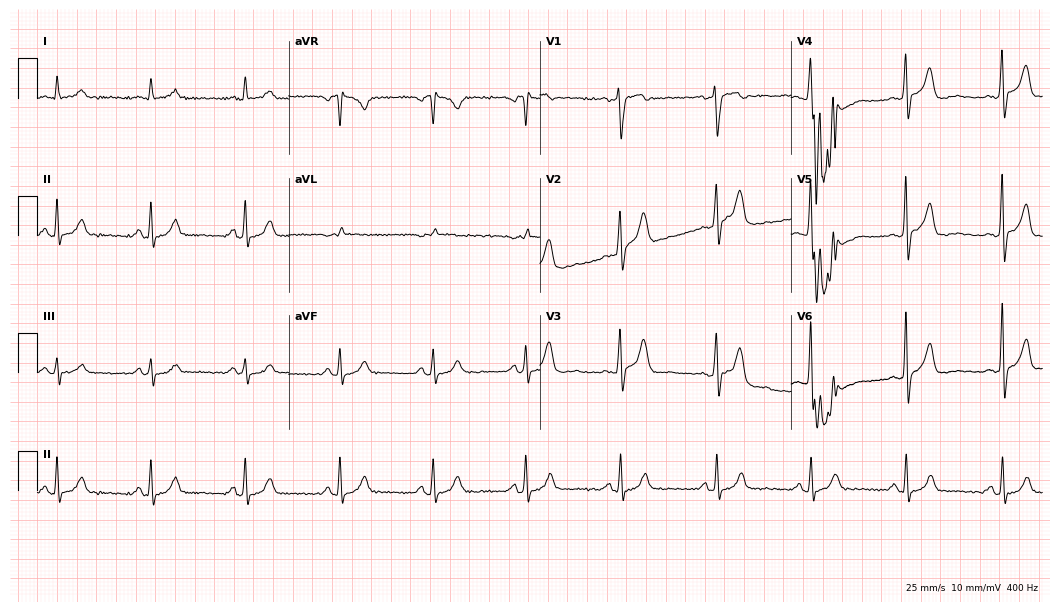
12-lead ECG from a male patient, 55 years old. Recorded interpretation: within normal limits.